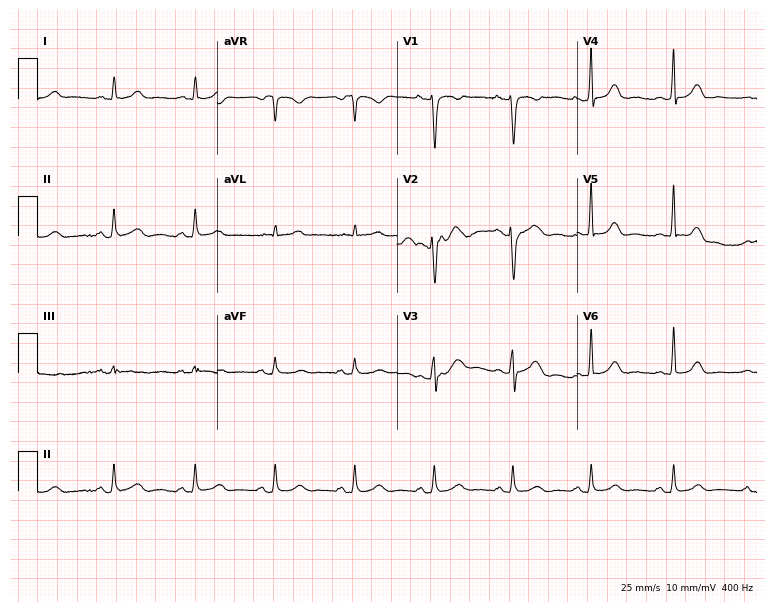
ECG (7.3-second recording at 400 Hz) — a female patient, 37 years old. Labelled as a normal ECG.